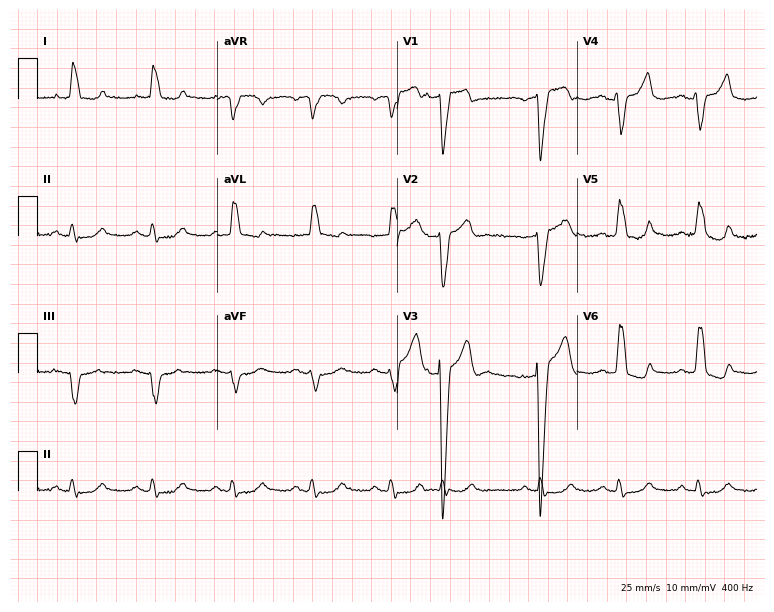
Standard 12-lead ECG recorded from a 58-year-old female patient (7.3-second recording at 400 Hz). The tracing shows left bundle branch block.